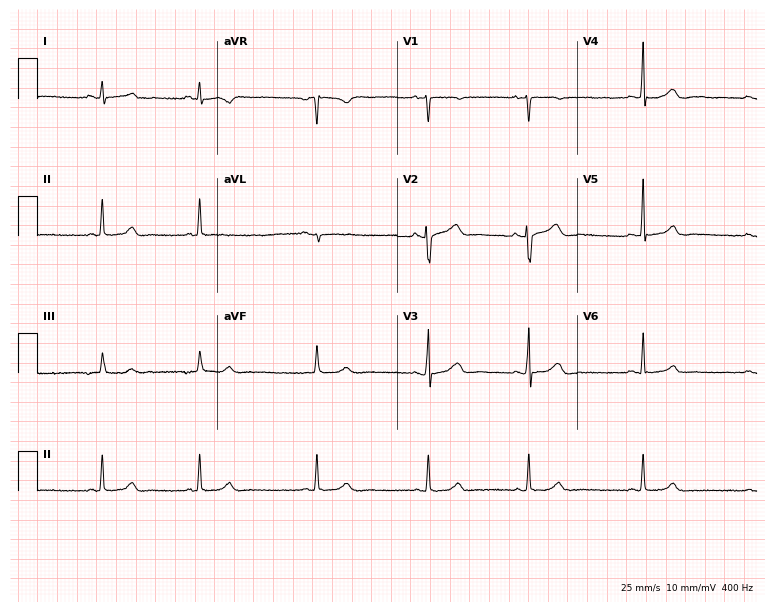
12-lead ECG from a female, 30 years old. Recorded interpretation: within normal limits.